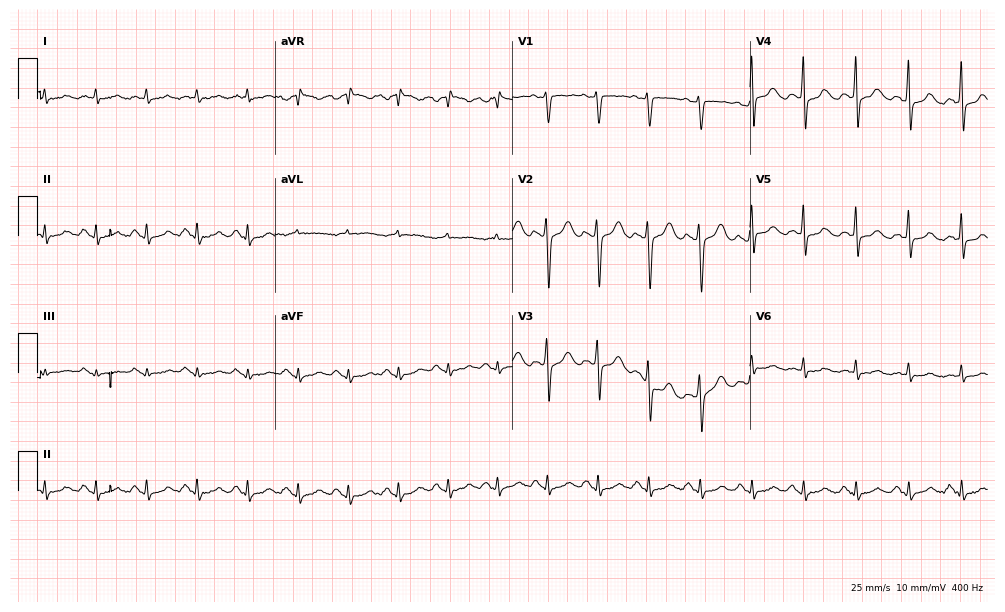
Resting 12-lead electrocardiogram. Patient: a 55-year-old female. The tracing shows sinus tachycardia (a sinus rate of 100 beats per minute or more).